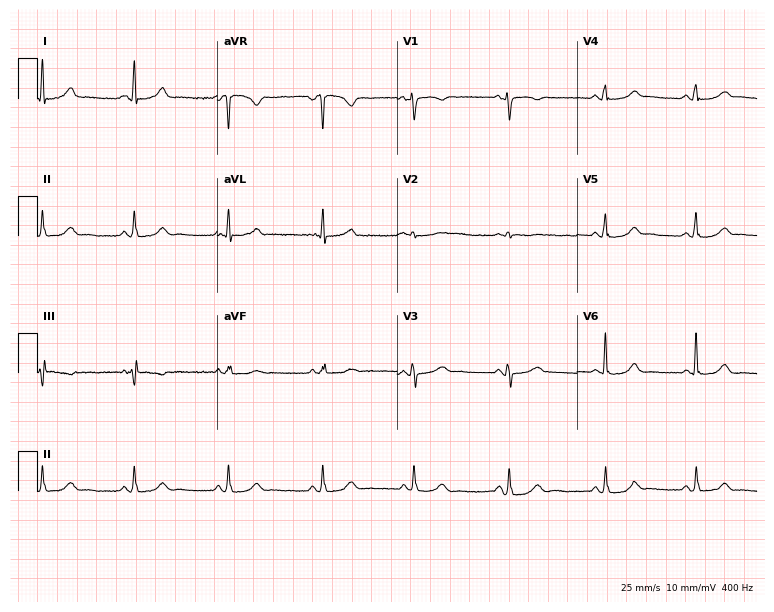
12-lead ECG from a 53-year-old woman. Recorded interpretation: within normal limits.